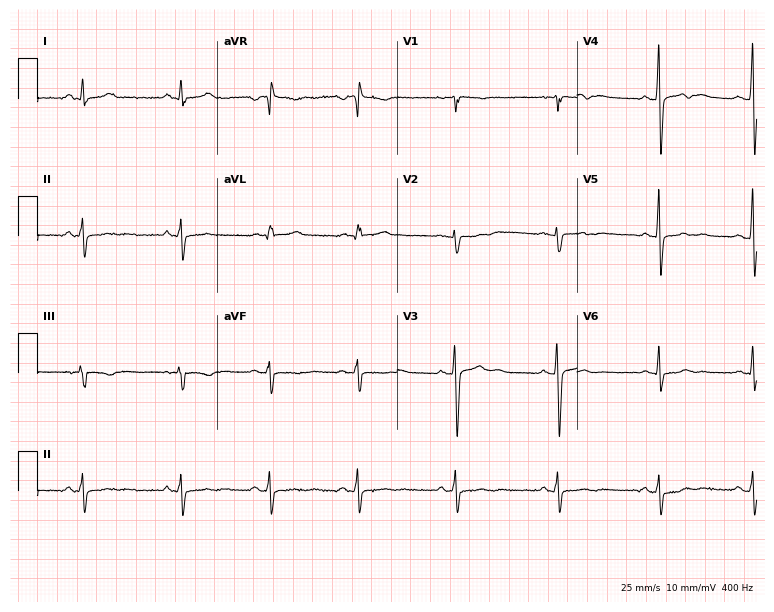
Resting 12-lead electrocardiogram (7.3-second recording at 400 Hz). Patient: a 20-year-old woman. None of these six findings is recorded: first-degree AV block, right bundle branch block (RBBB), left bundle branch block (LBBB), sinus bradycardia, atrial fibrillation (AF), sinus tachycardia.